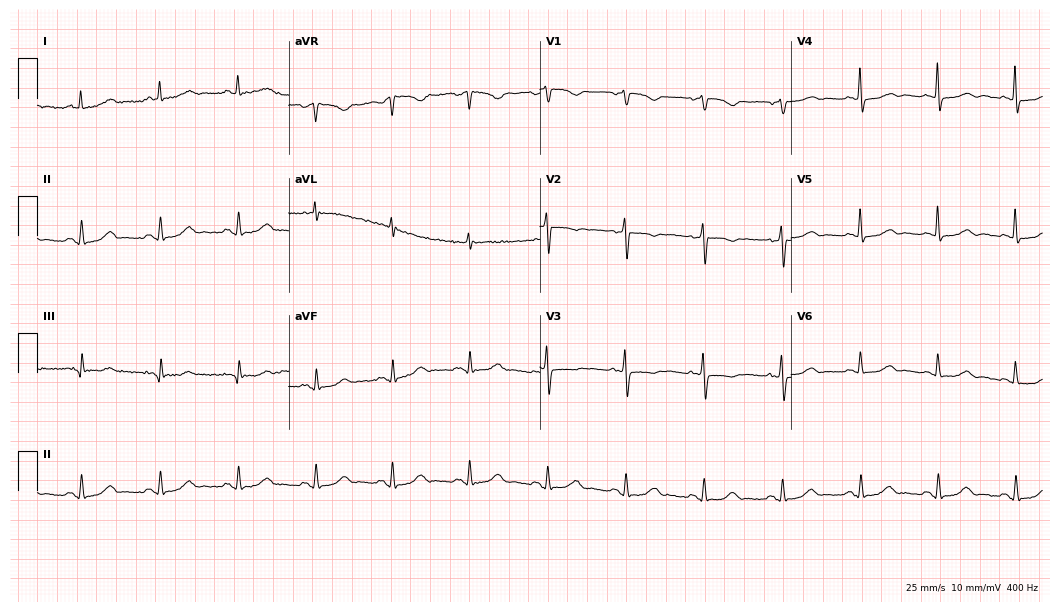
Standard 12-lead ECG recorded from a male patient, 71 years old. None of these six findings is recorded: first-degree AV block, right bundle branch block, left bundle branch block, sinus bradycardia, atrial fibrillation, sinus tachycardia. Other findings, if any, are not listed.